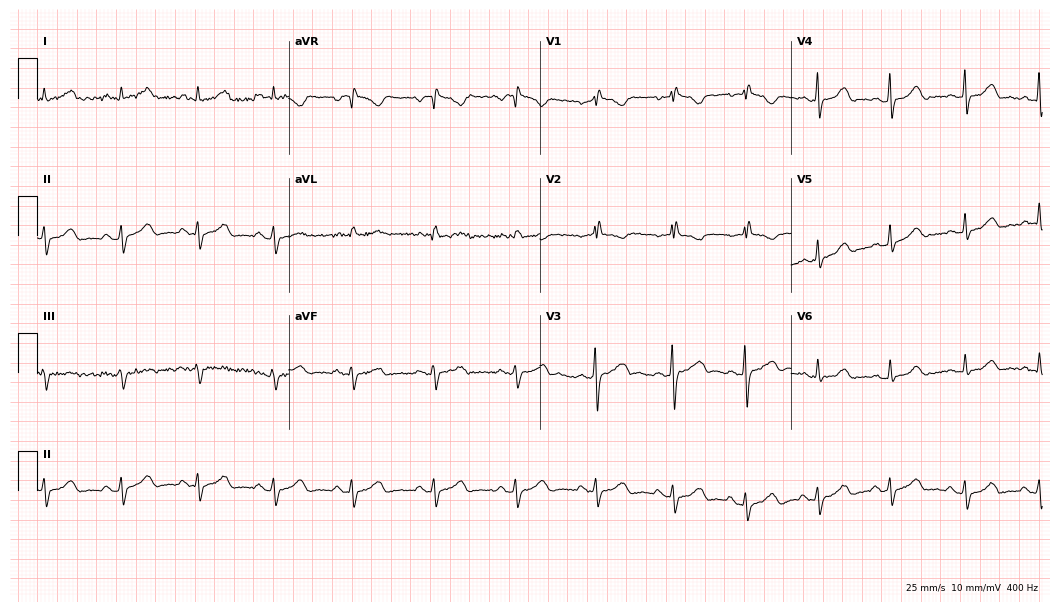
Electrocardiogram (10.2-second recording at 400 Hz), a 29-year-old female. Of the six screened findings (first-degree AV block, right bundle branch block, left bundle branch block, sinus bradycardia, atrial fibrillation, sinus tachycardia), none is recorded.